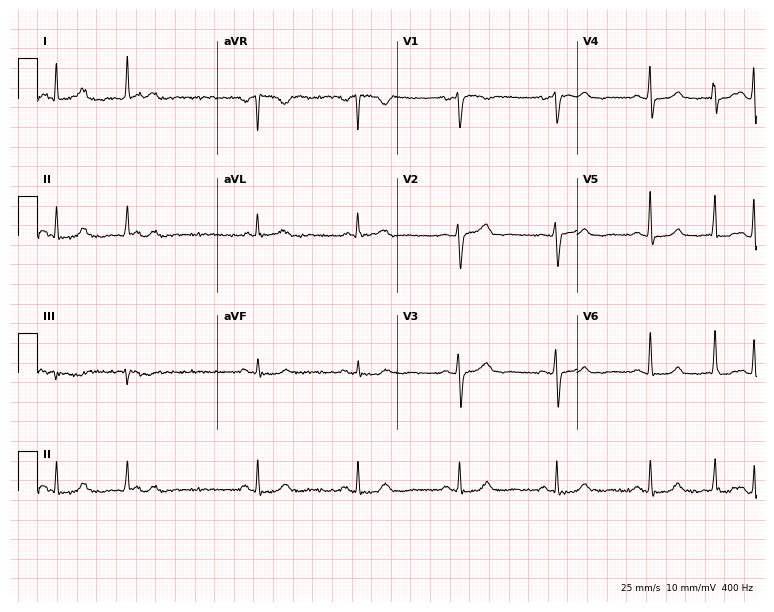
12-lead ECG from a 52-year-old female patient. Screened for six findings — first-degree AV block, right bundle branch block, left bundle branch block, sinus bradycardia, atrial fibrillation, sinus tachycardia — none is recorded. Only these six findings were labelled.